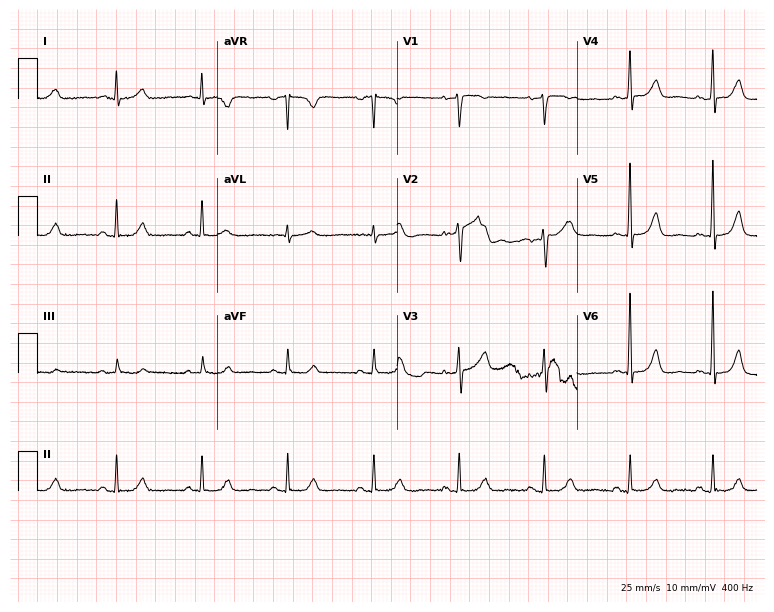
ECG (7.3-second recording at 400 Hz) — a 50-year-old female. Screened for six findings — first-degree AV block, right bundle branch block, left bundle branch block, sinus bradycardia, atrial fibrillation, sinus tachycardia — none is recorded.